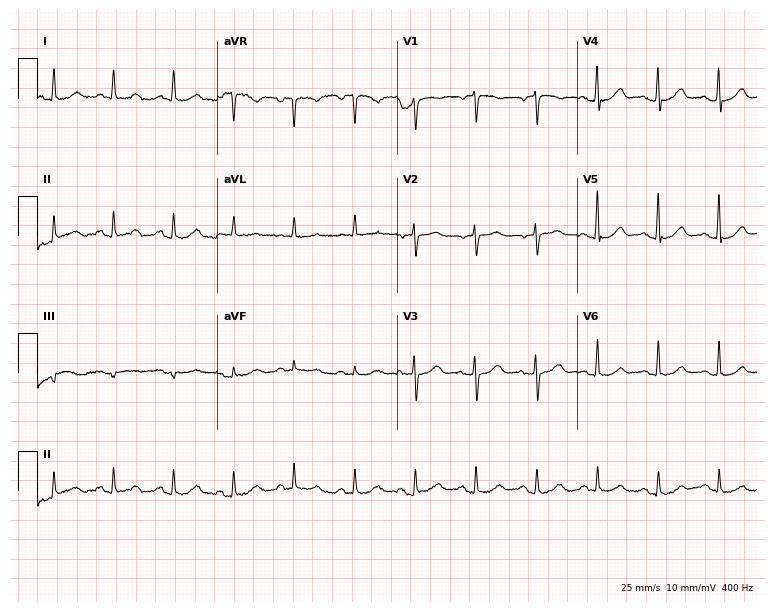
12-lead ECG from a 66-year-old woman (7.3-second recording at 400 Hz). Recorded interpretation: within normal limits.